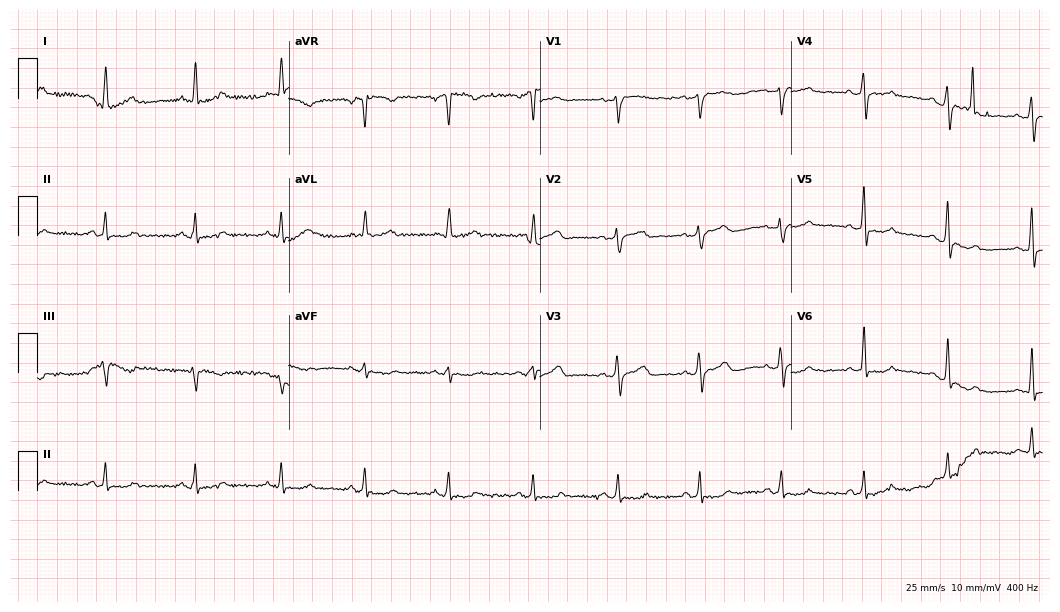
Resting 12-lead electrocardiogram. Patient: a 48-year-old man. None of these six findings is recorded: first-degree AV block, right bundle branch block, left bundle branch block, sinus bradycardia, atrial fibrillation, sinus tachycardia.